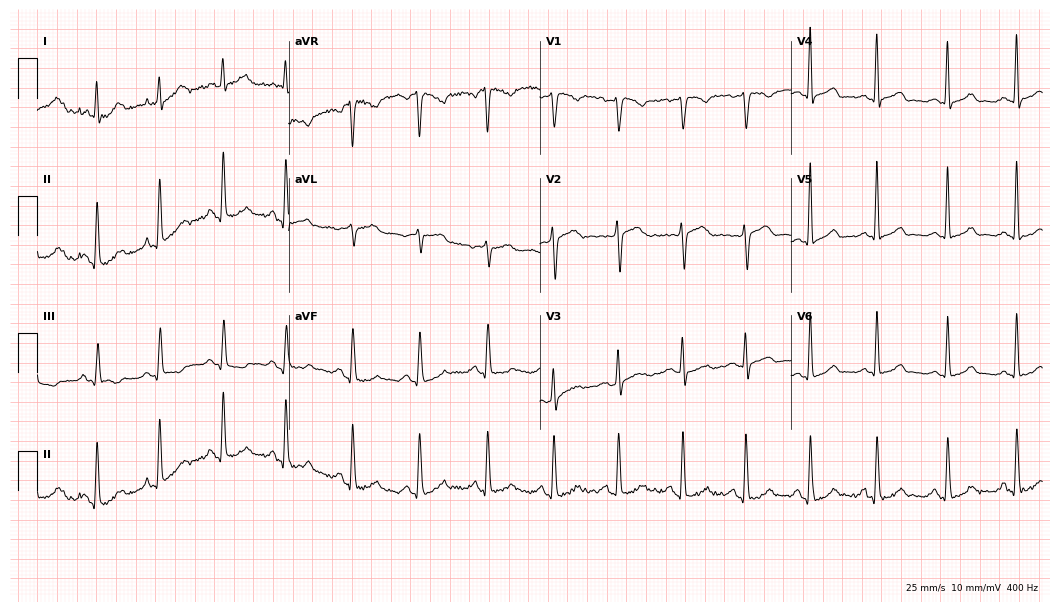
12-lead ECG from a 58-year-old female patient. Recorded interpretation: within normal limits.